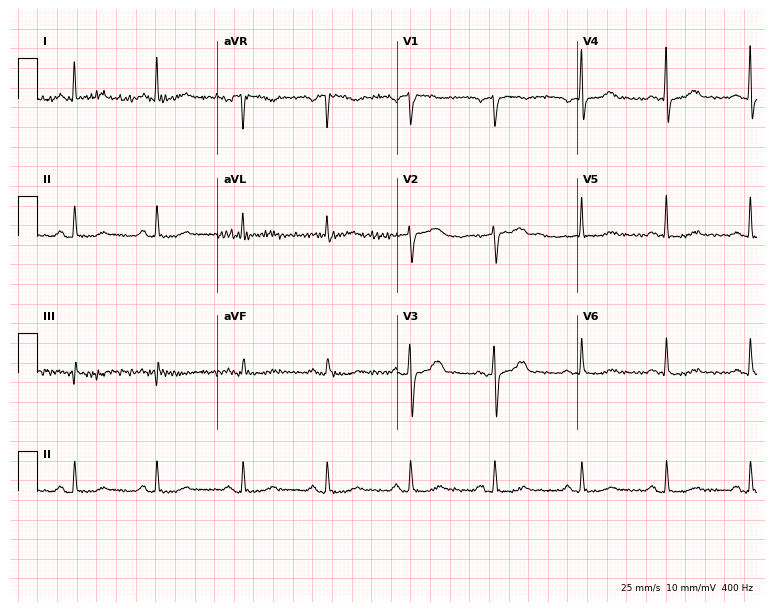
12-lead ECG from a 64-year-old female patient. Recorded interpretation: within normal limits.